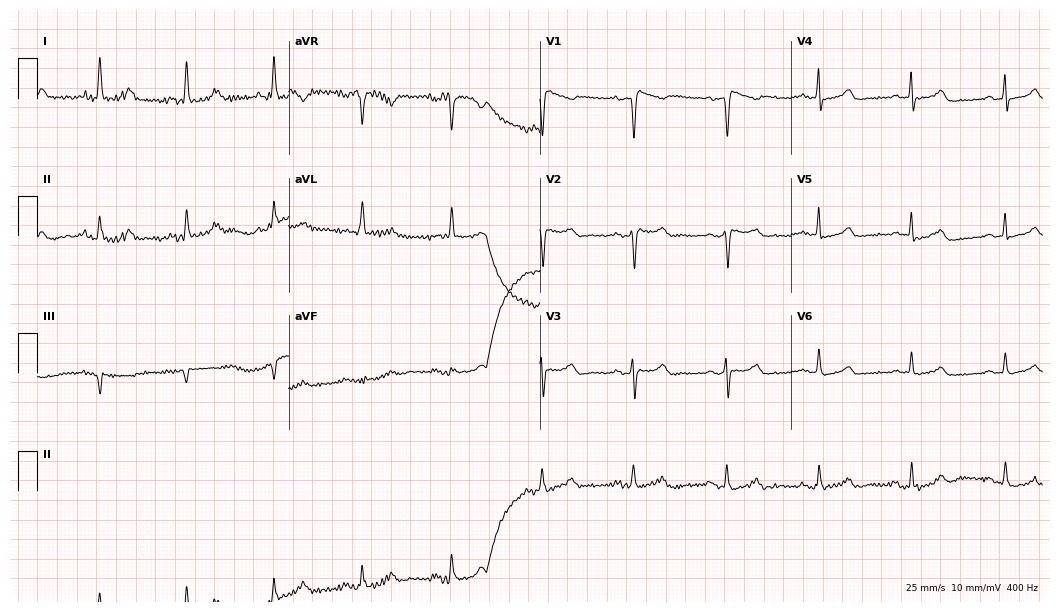
12-lead ECG (10.2-second recording at 400 Hz) from a 66-year-old woman. Screened for six findings — first-degree AV block, right bundle branch block, left bundle branch block, sinus bradycardia, atrial fibrillation, sinus tachycardia — none is recorded. Only these six findings were labelled.